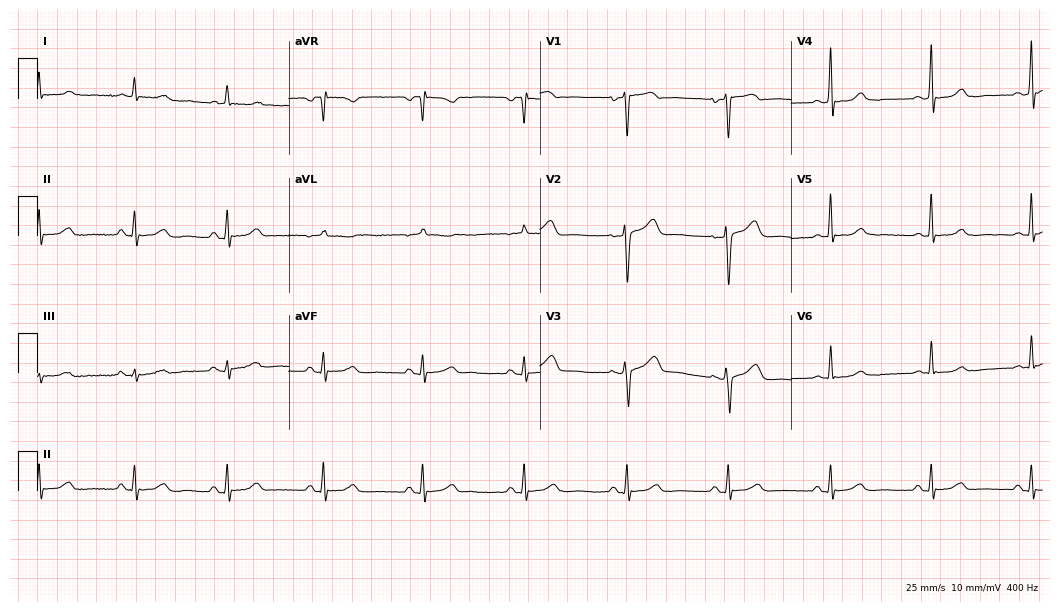
ECG (10.2-second recording at 400 Hz) — a female patient, 58 years old. Labelled as a normal ECG.